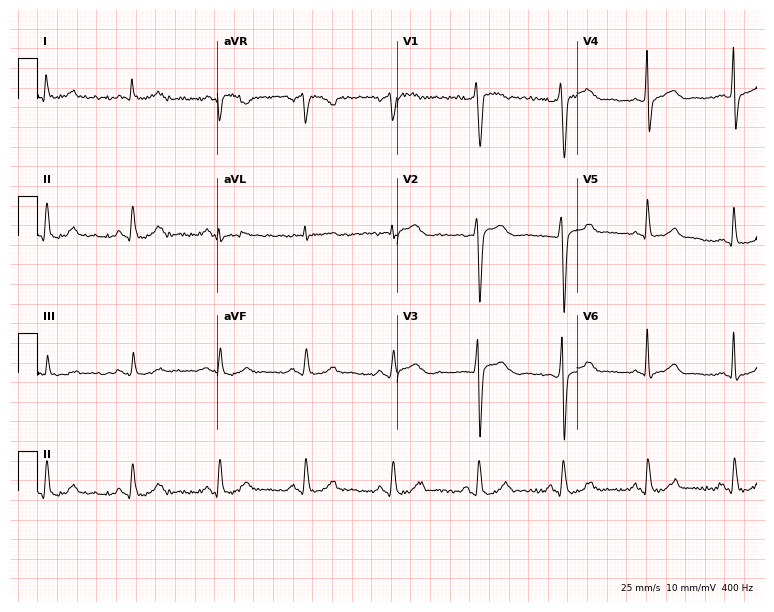
ECG — a male patient, 54 years old. Screened for six findings — first-degree AV block, right bundle branch block (RBBB), left bundle branch block (LBBB), sinus bradycardia, atrial fibrillation (AF), sinus tachycardia — none is recorded.